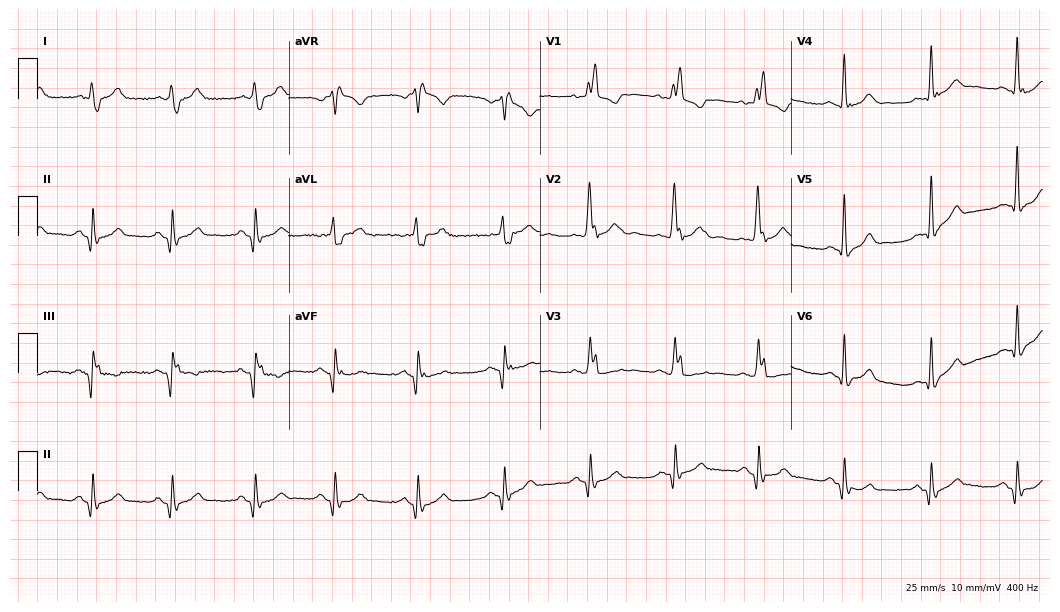
Electrocardiogram (10.2-second recording at 400 Hz), a male patient, 67 years old. Interpretation includes right bundle branch block (RBBB).